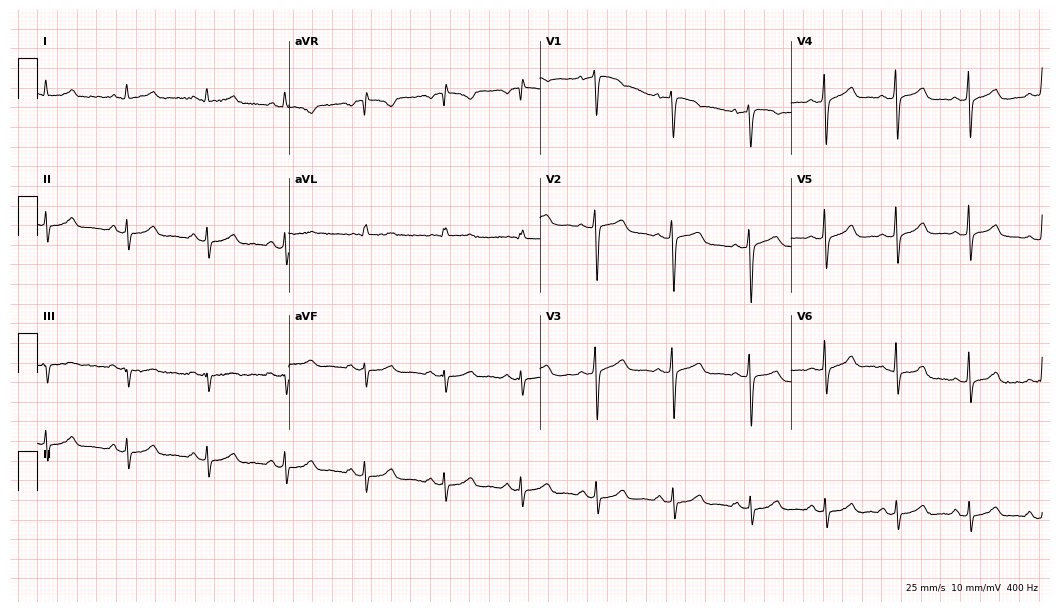
12-lead ECG from a male, 52 years old (10.2-second recording at 400 Hz). No first-degree AV block, right bundle branch block, left bundle branch block, sinus bradycardia, atrial fibrillation or sinus tachycardia recorded for this tracing. Only these six findings were labelled.